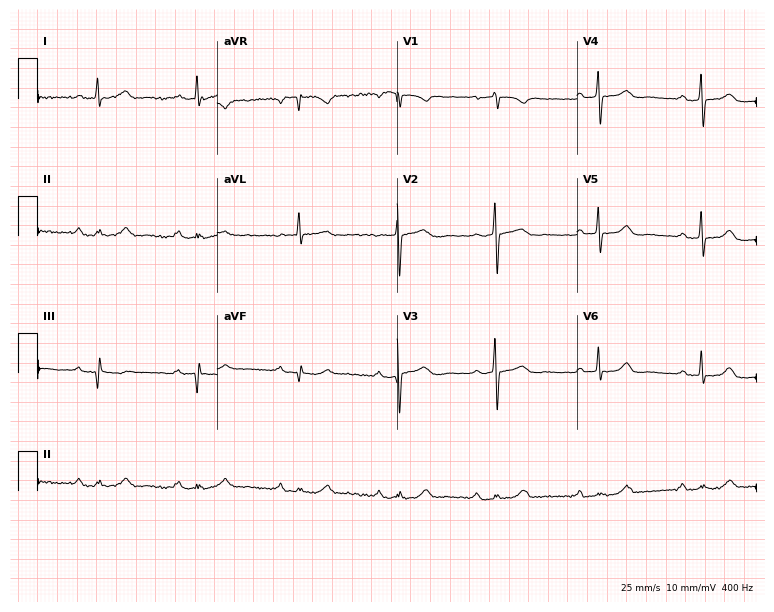
12-lead ECG from a female patient, 75 years old. No first-degree AV block, right bundle branch block (RBBB), left bundle branch block (LBBB), sinus bradycardia, atrial fibrillation (AF) or sinus tachycardia recorded for this tracing.